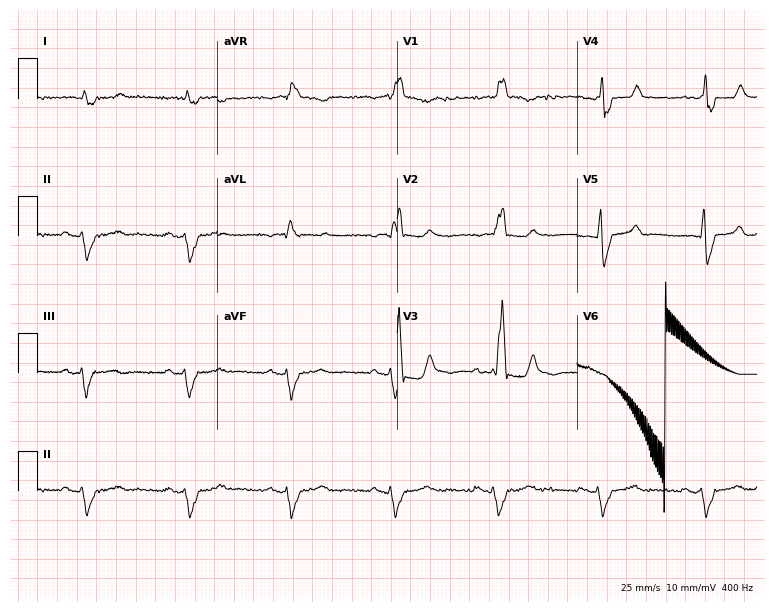
12-lead ECG (7.3-second recording at 400 Hz) from an 84-year-old male. Findings include atrial fibrillation (AF).